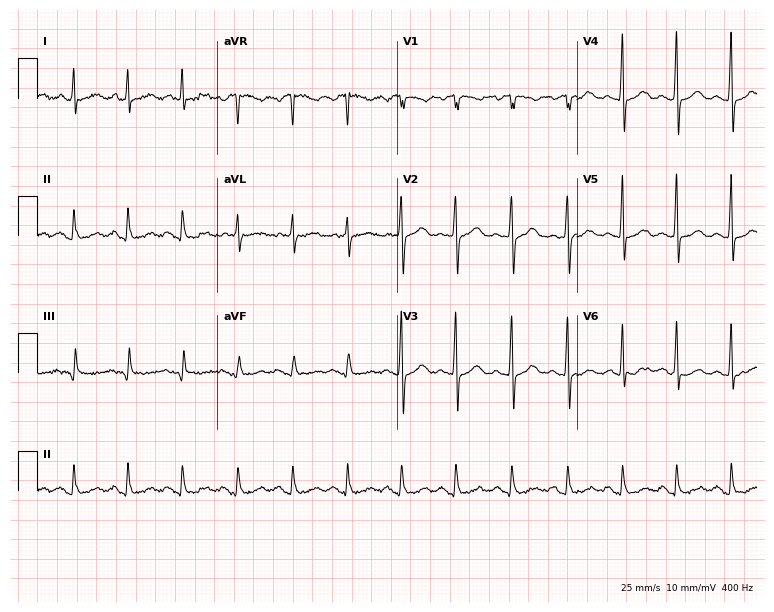
Electrocardiogram, a woman, 62 years old. Of the six screened findings (first-degree AV block, right bundle branch block, left bundle branch block, sinus bradycardia, atrial fibrillation, sinus tachycardia), none is recorded.